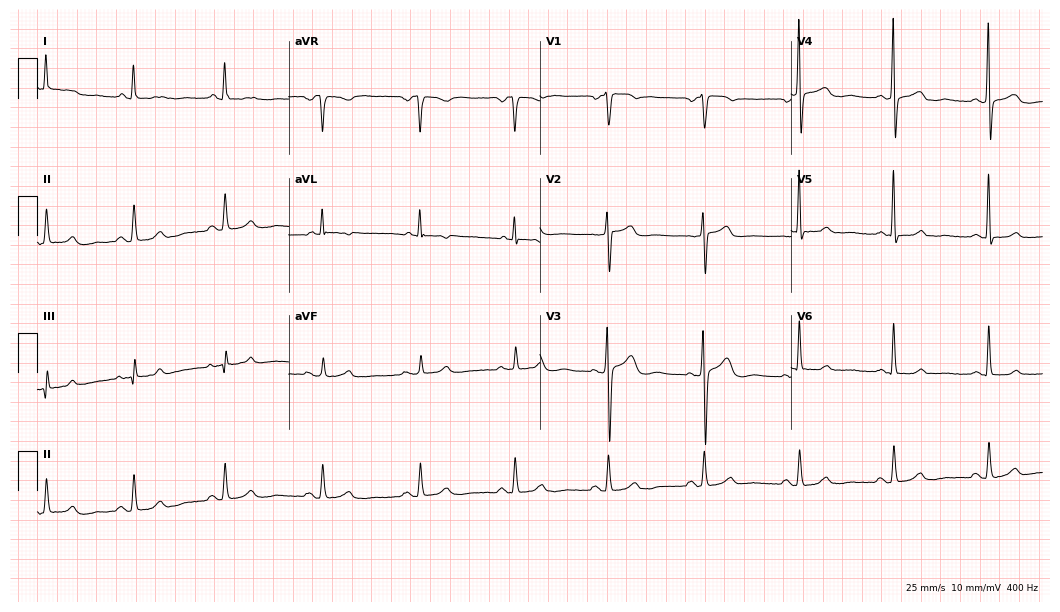
ECG (10.2-second recording at 400 Hz) — a 58-year-old female. Screened for six findings — first-degree AV block, right bundle branch block, left bundle branch block, sinus bradycardia, atrial fibrillation, sinus tachycardia — none is recorded. Other findings, if any, are not listed.